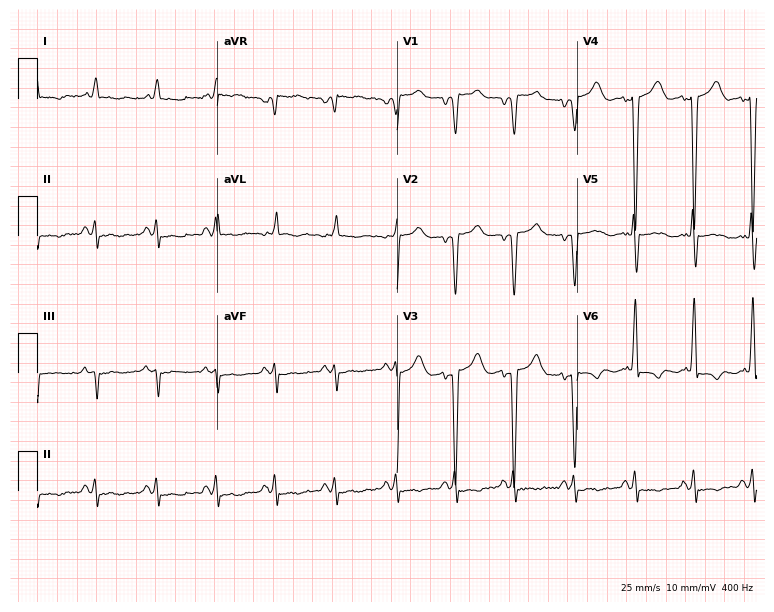
Standard 12-lead ECG recorded from a man, 69 years old (7.3-second recording at 400 Hz). None of these six findings is recorded: first-degree AV block, right bundle branch block, left bundle branch block, sinus bradycardia, atrial fibrillation, sinus tachycardia. Other findings, if any, are not listed.